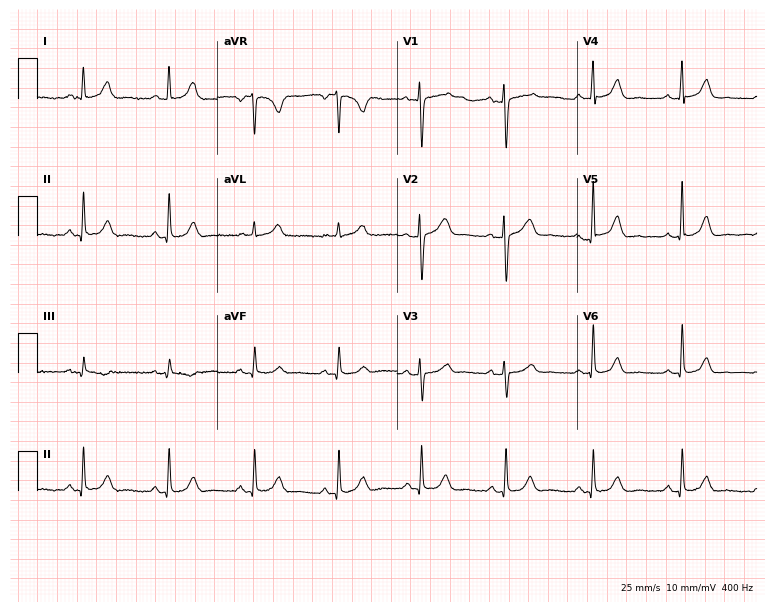
12-lead ECG from a female patient, 43 years old (7.3-second recording at 400 Hz). Recorded interpretation: within normal limits.